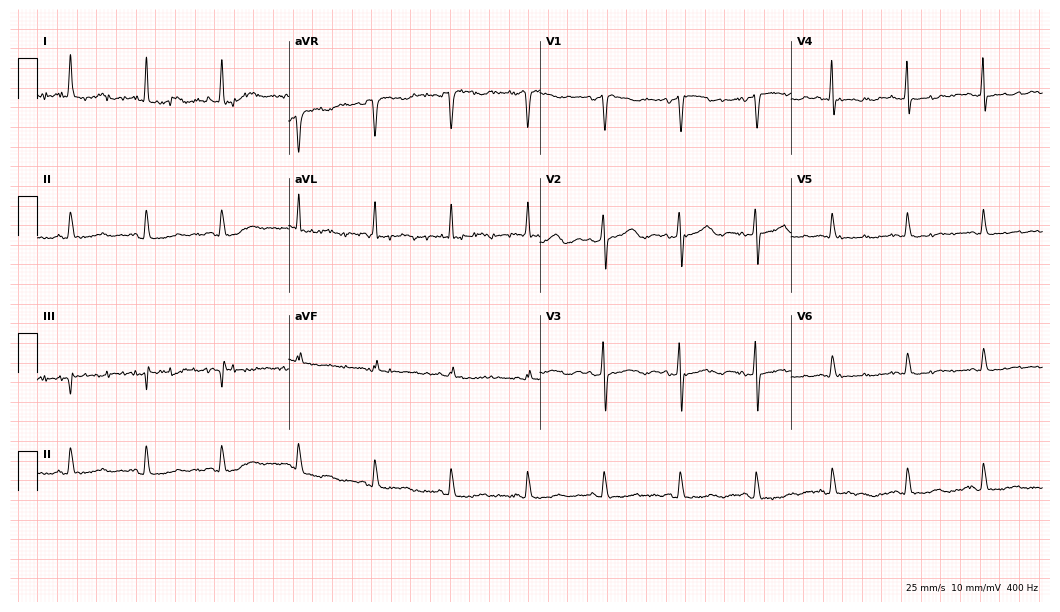
ECG — a 79-year-old female. Screened for six findings — first-degree AV block, right bundle branch block, left bundle branch block, sinus bradycardia, atrial fibrillation, sinus tachycardia — none is recorded. Only these six findings were labelled.